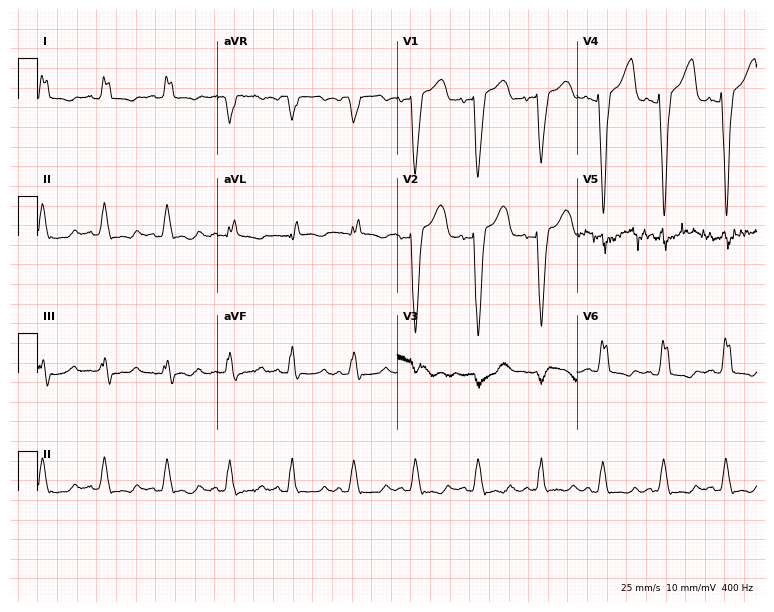
12-lead ECG (7.3-second recording at 400 Hz) from a female patient, 53 years old. Findings include left bundle branch block.